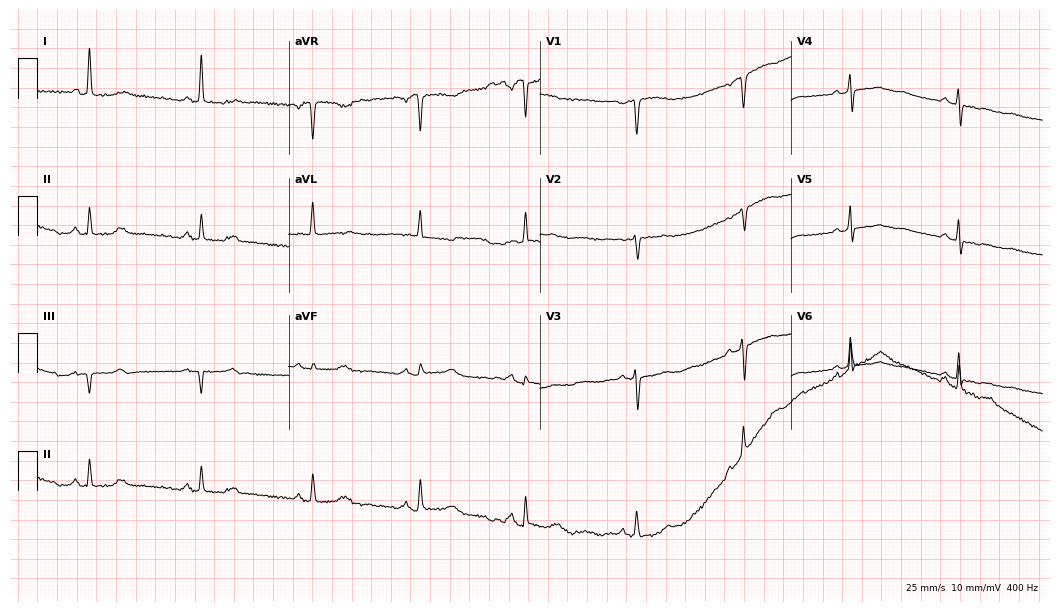
12-lead ECG from a female patient, 64 years old. Labelled as a normal ECG.